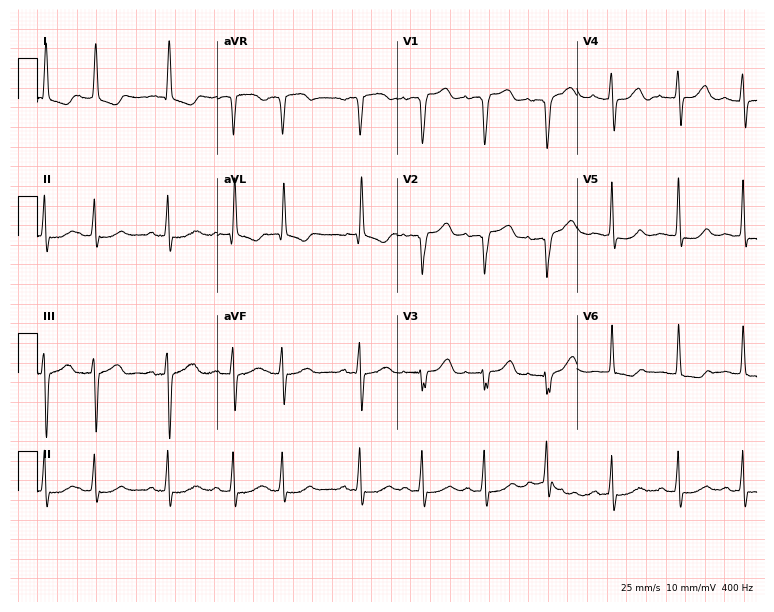
12-lead ECG from an 82-year-old woman. Screened for six findings — first-degree AV block, right bundle branch block (RBBB), left bundle branch block (LBBB), sinus bradycardia, atrial fibrillation (AF), sinus tachycardia — none is recorded. Findings outside these six are not listed.